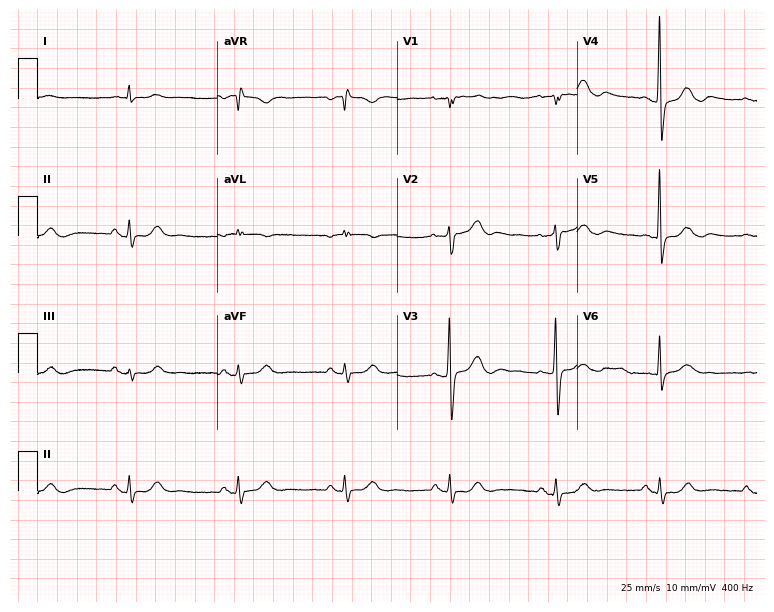
12-lead ECG from a male, 78 years old (7.3-second recording at 400 Hz). No first-degree AV block, right bundle branch block, left bundle branch block, sinus bradycardia, atrial fibrillation or sinus tachycardia recorded for this tracing.